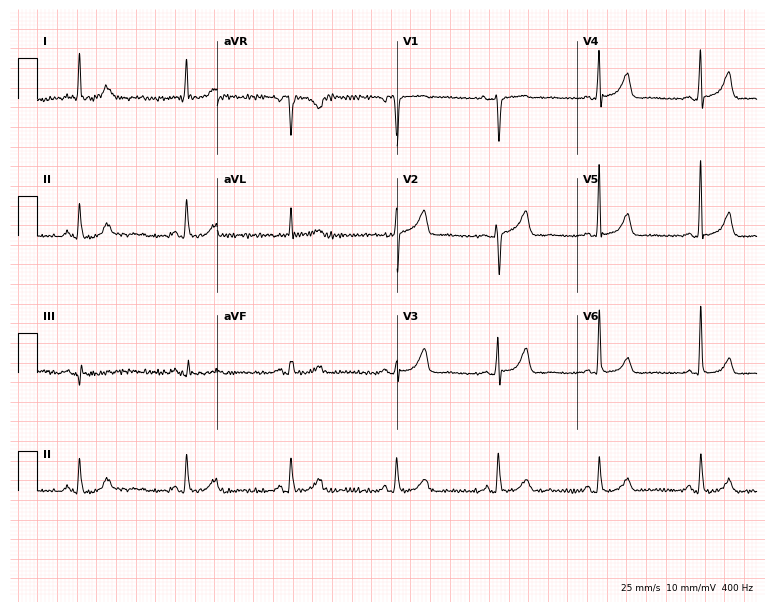
Standard 12-lead ECG recorded from a 59-year-old female. None of these six findings is recorded: first-degree AV block, right bundle branch block (RBBB), left bundle branch block (LBBB), sinus bradycardia, atrial fibrillation (AF), sinus tachycardia.